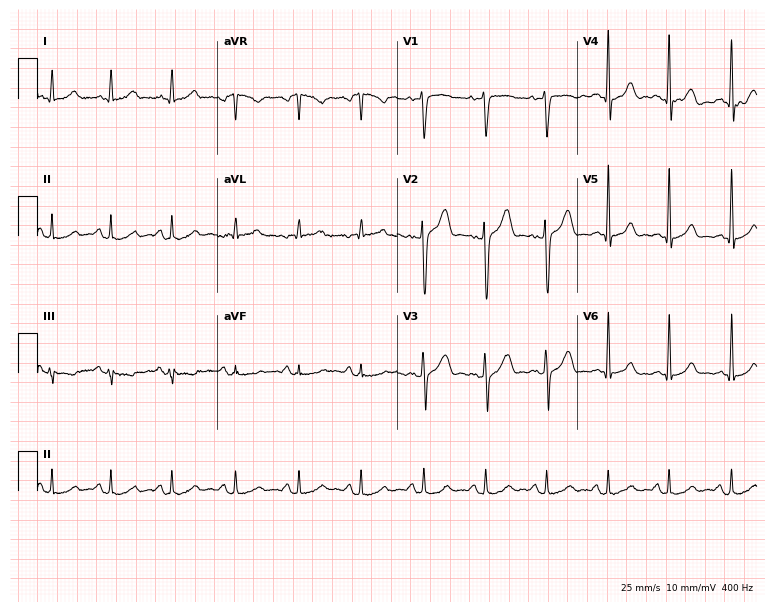
Electrocardiogram (7.3-second recording at 400 Hz), a male patient, 32 years old. Overall reading on record: normal ECG.